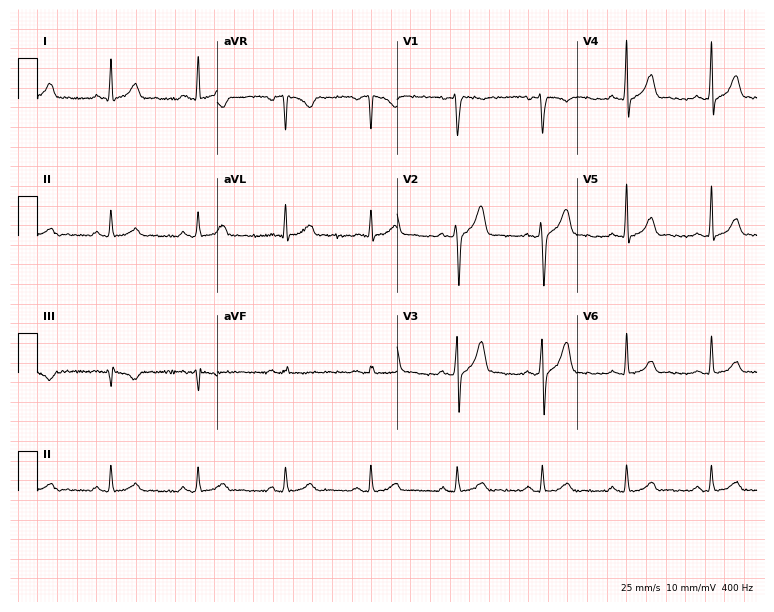
Electrocardiogram, a male, 45 years old. Overall reading on record: normal ECG.